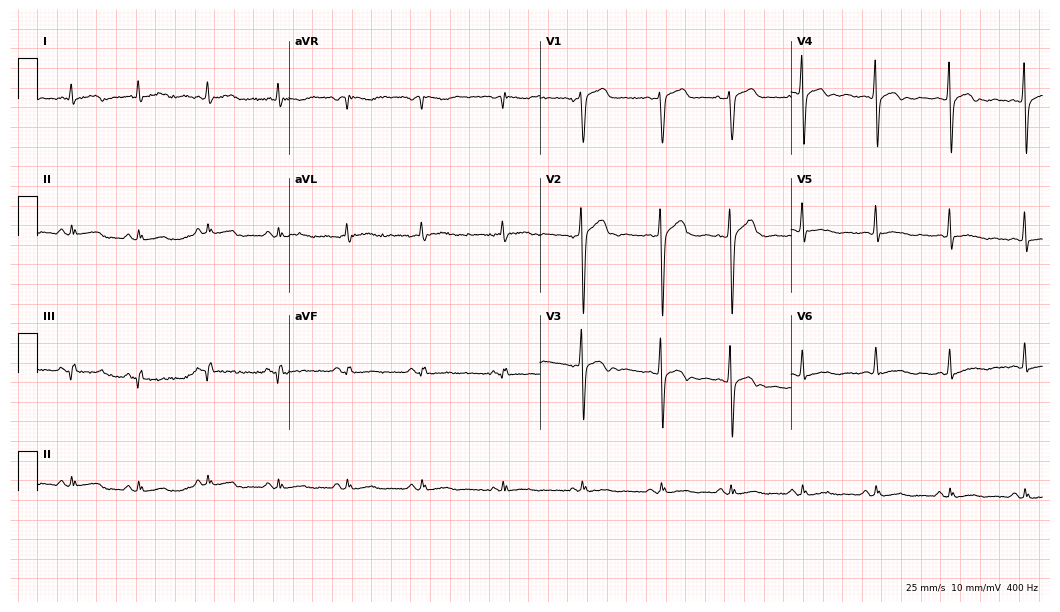
12-lead ECG (10.2-second recording at 400 Hz) from a 47-year-old male. Screened for six findings — first-degree AV block, right bundle branch block, left bundle branch block, sinus bradycardia, atrial fibrillation, sinus tachycardia — none is recorded.